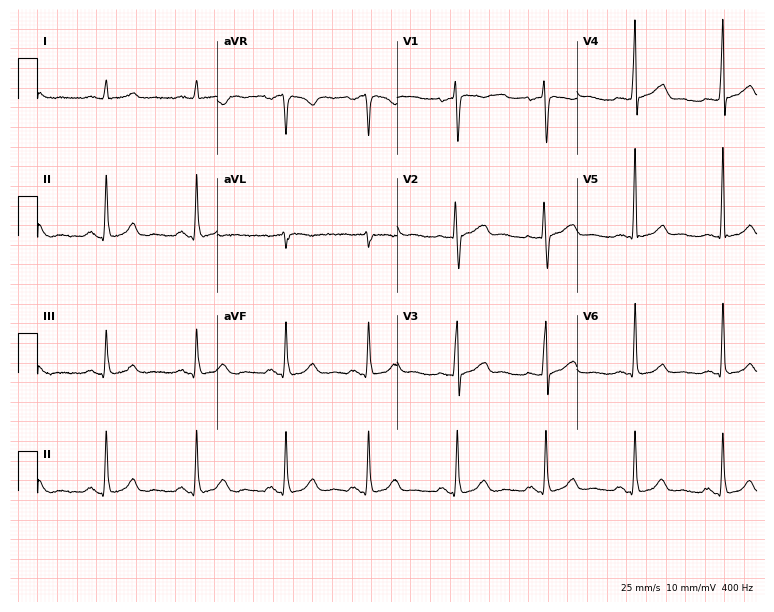
Electrocardiogram (7.3-second recording at 400 Hz), a 39-year-old female. Overall reading on record: normal ECG.